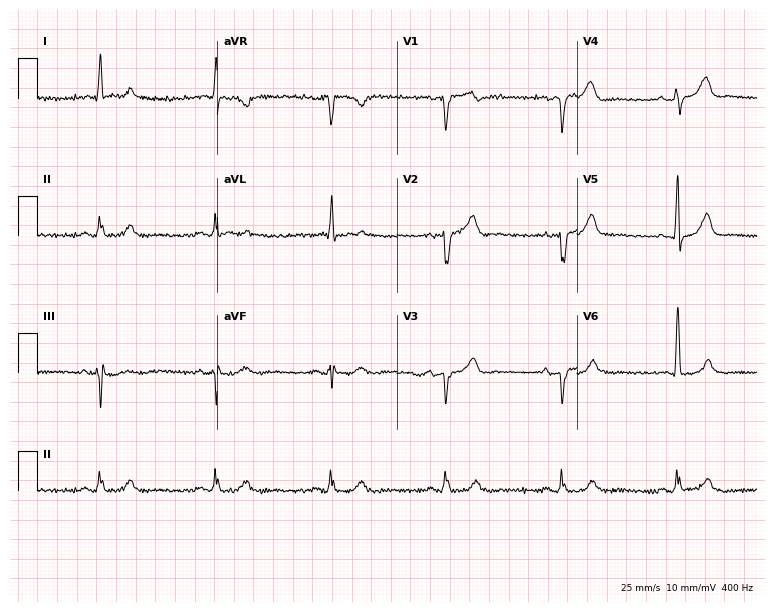
ECG — a male, 83 years old. Screened for six findings — first-degree AV block, right bundle branch block (RBBB), left bundle branch block (LBBB), sinus bradycardia, atrial fibrillation (AF), sinus tachycardia — none is recorded. Findings outside these six are not listed.